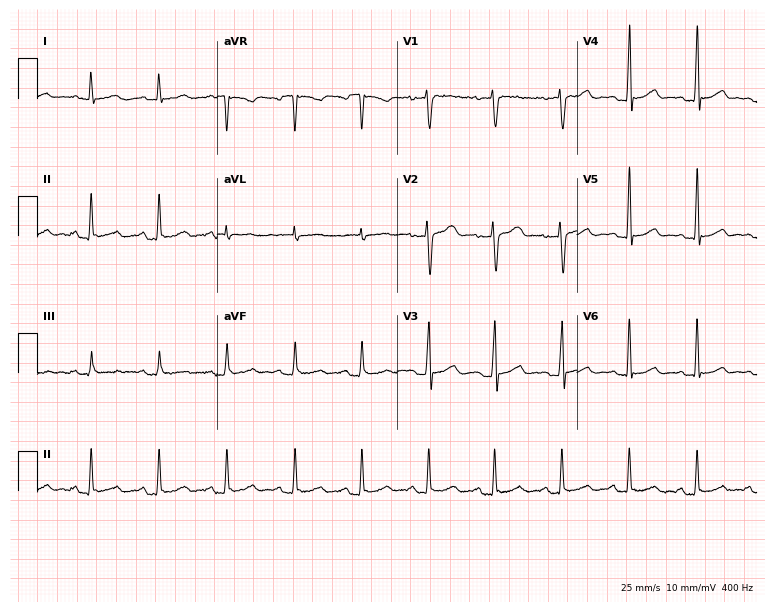
12-lead ECG from a 35-year-old woman (7.3-second recording at 400 Hz). Recorded interpretation: within normal limits.